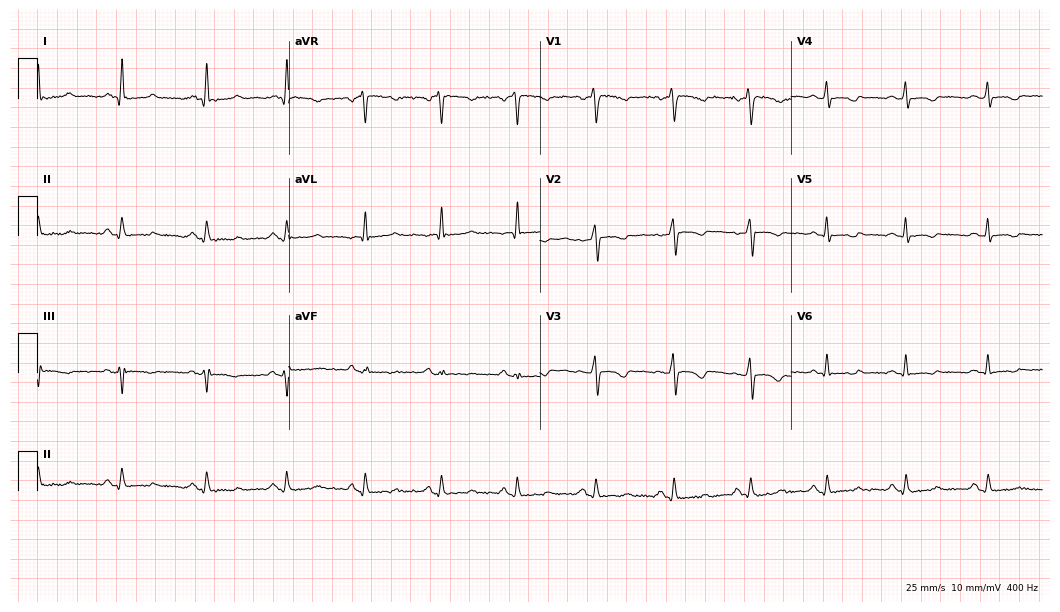
Electrocardiogram (10.2-second recording at 400 Hz), a female, 42 years old. Of the six screened findings (first-degree AV block, right bundle branch block, left bundle branch block, sinus bradycardia, atrial fibrillation, sinus tachycardia), none is recorded. Other findings, if any, are not listed.